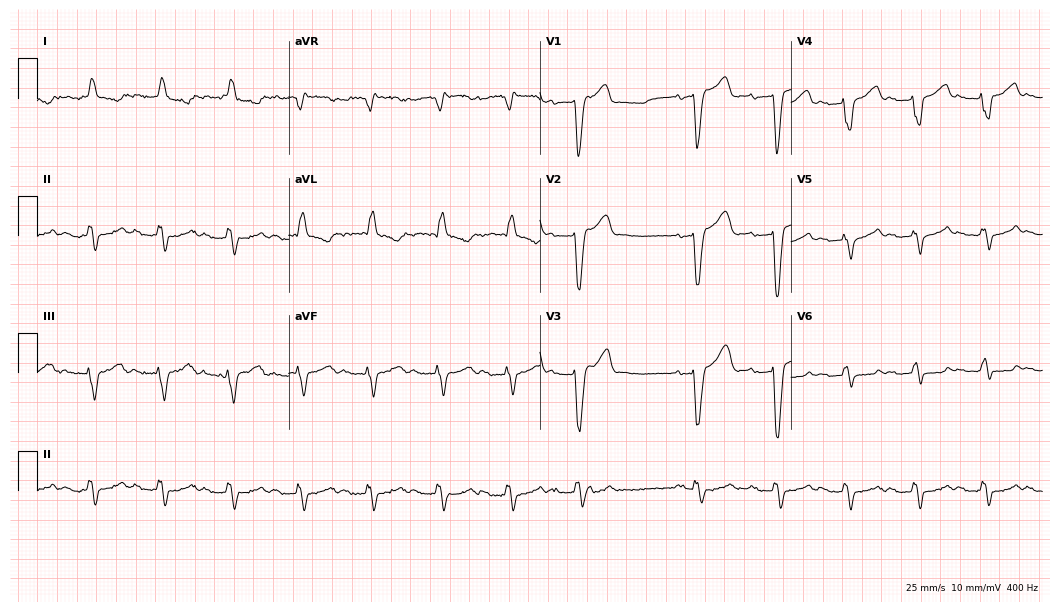
12-lead ECG from a man, 76 years old. Findings include first-degree AV block, left bundle branch block.